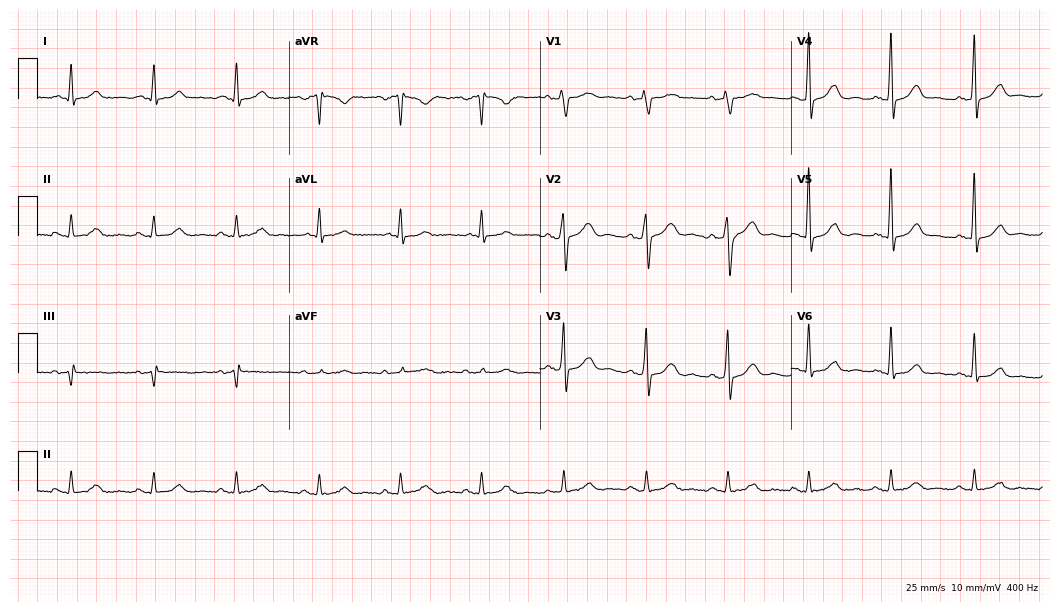
Electrocardiogram, a 50-year-old male patient. Overall reading on record: normal ECG.